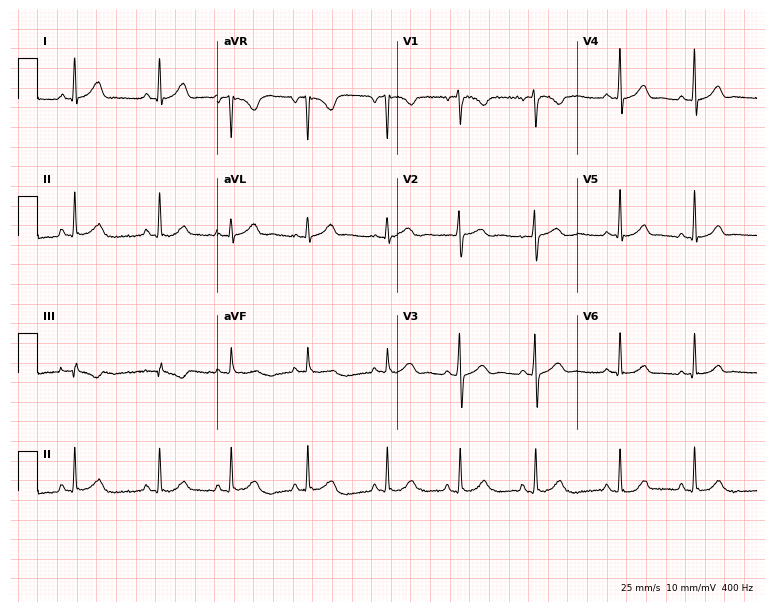
12-lead ECG from a 30-year-old female patient (7.3-second recording at 400 Hz). No first-degree AV block, right bundle branch block (RBBB), left bundle branch block (LBBB), sinus bradycardia, atrial fibrillation (AF) or sinus tachycardia recorded for this tracing. Other findings, if any, are not listed.